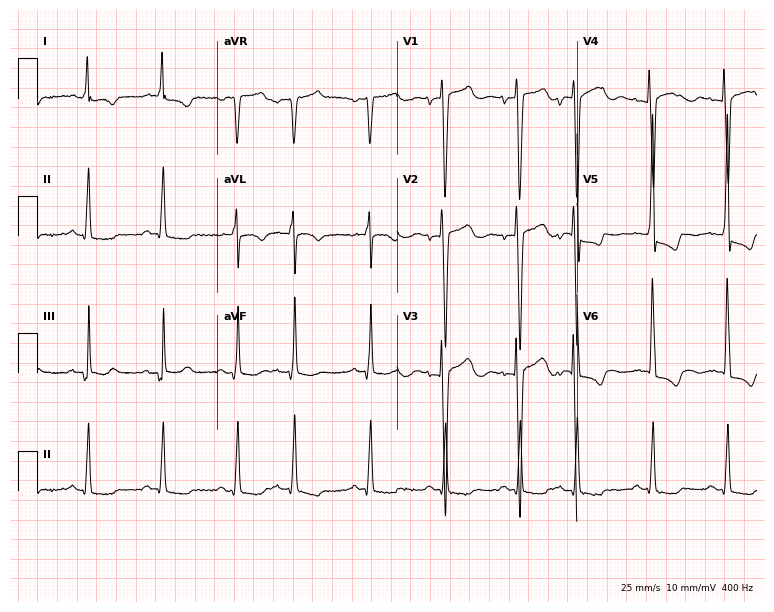
Resting 12-lead electrocardiogram. Patient: a female, 74 years old. None of these six findings is recorded: first-degree AV block, right bundle branch block, left bundle branch block, sinus bradycardia, atrial fibrillation, sinus tachycardia. Findings outside these six are not listed.